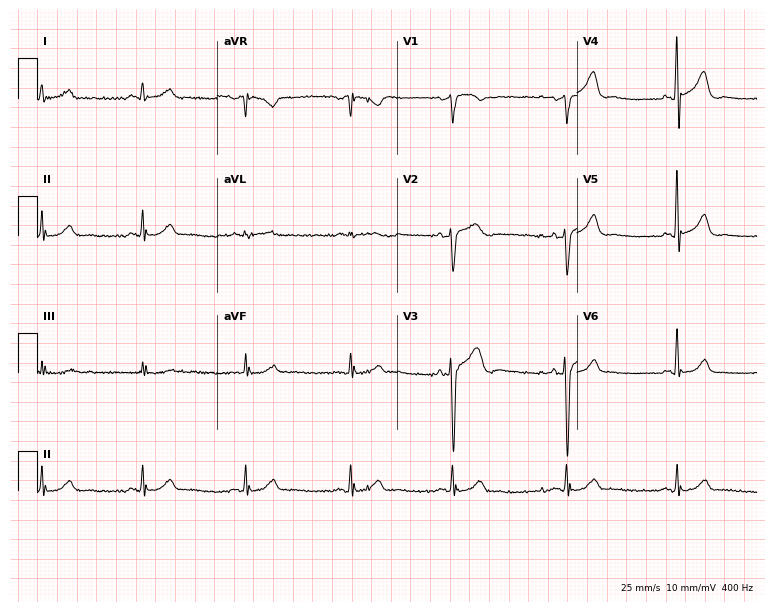
Resting 12-lead electrocardiogram (7.3-second recording at 400 Hz). Patient: a male, 64 years old. None of these six findings is recorded: first-degree AV block, right bundle branch block, left bundle branch block, sinus bradycardia, atrial fibrillation, sinus tachycardia. Findings outside these six are not listed.